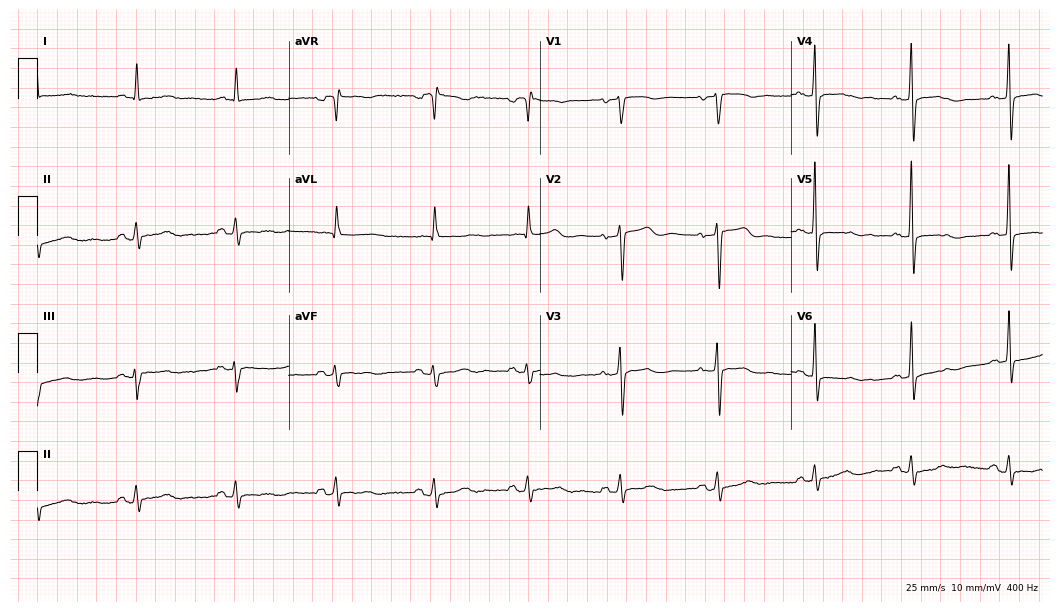
Electrocardiogram, a 79-year-old female patient. Overall reading on record: normal ECG.